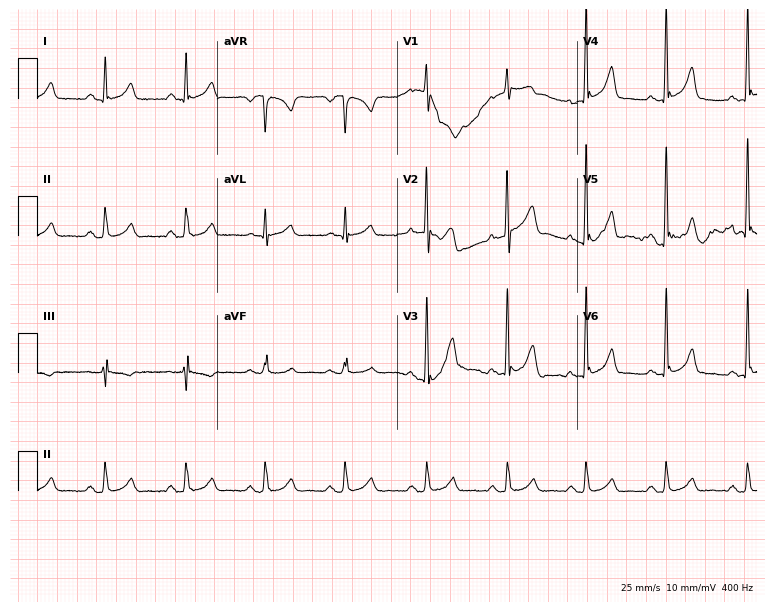
Resting 12-lead electrocardiogram. Patient: a 54-year-old male. Read as a normal ECG.